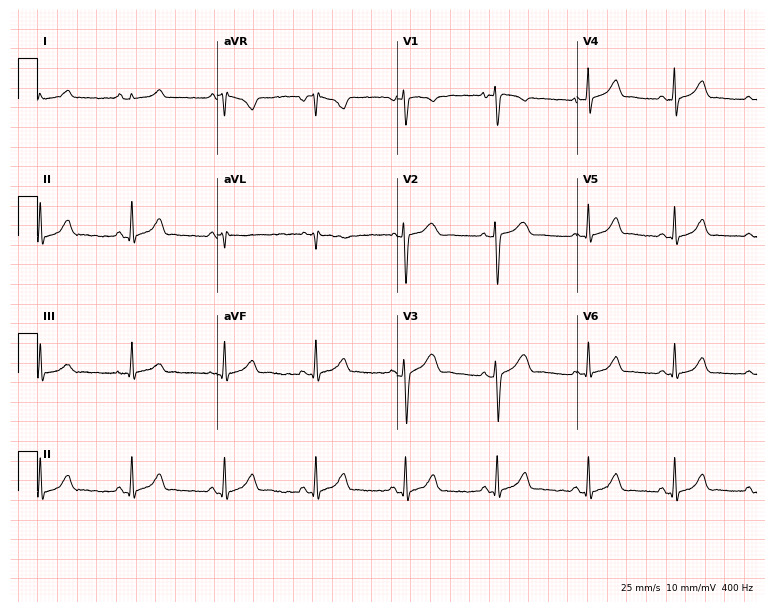
12-lead ECG from a 22-year-old female (7.3-second recording at 400 Hz). Recorded interpretation: within normal limits.